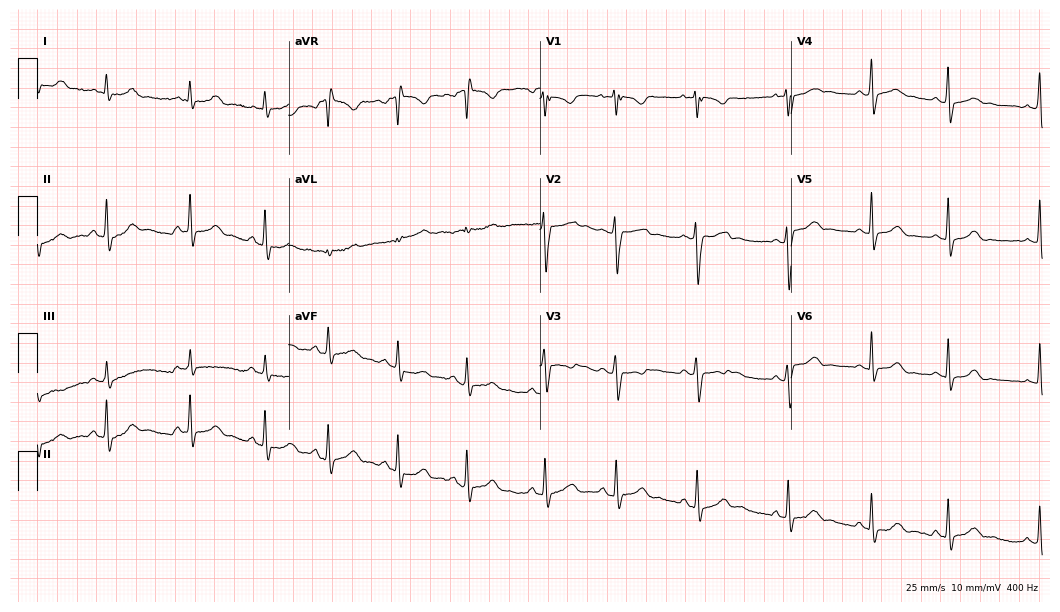
12-lead ECG (10.2-second recording at 400 Hz) from an 18-year-old female patient. Labelled as a normal ECG.